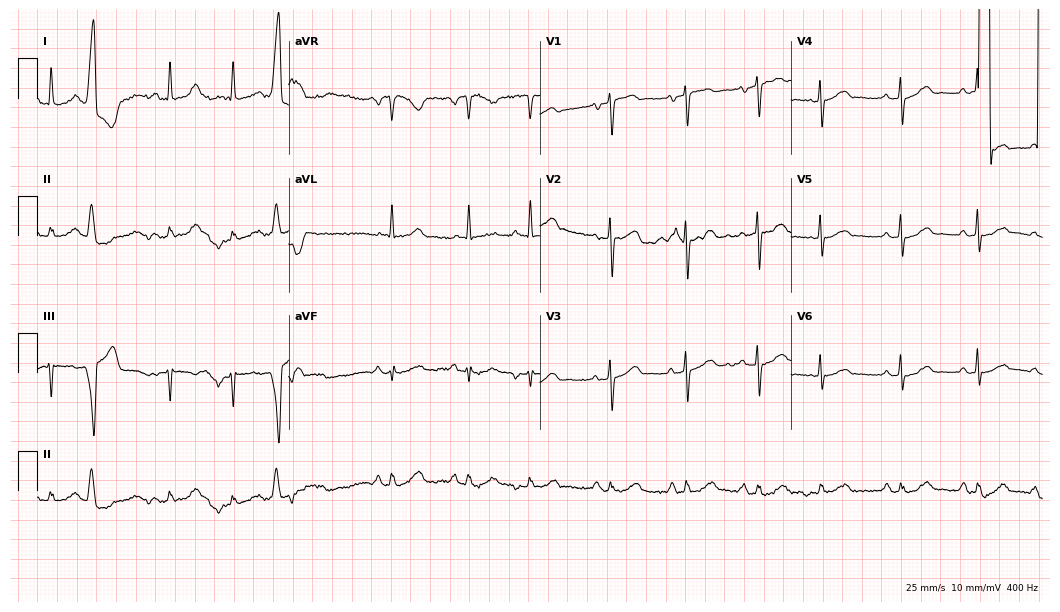
Standard 12-lead ECG recorded from a woman, 85 years old. None of these six findings is recorded: first-degree AV block, right bundle branch block, left bundle branch block, sinus bradycardia, atrial fibrillation, sinus tachycardia. Only these six findings were labelled.